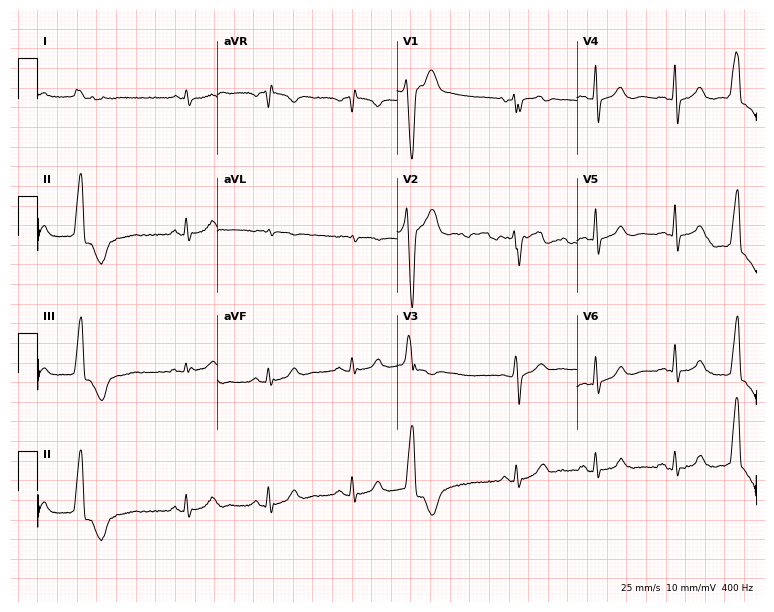
Standard 12-lead ECG recorded from a 61-year-old male (7.3-second recording at 400 Hz). None of these six findings is recorded: first-degree AV block, right bundle branch block, left bundle branch block, sinus bradycardia, atrial fibrillation, sinus tachycardia. Only these six findings were labelled.